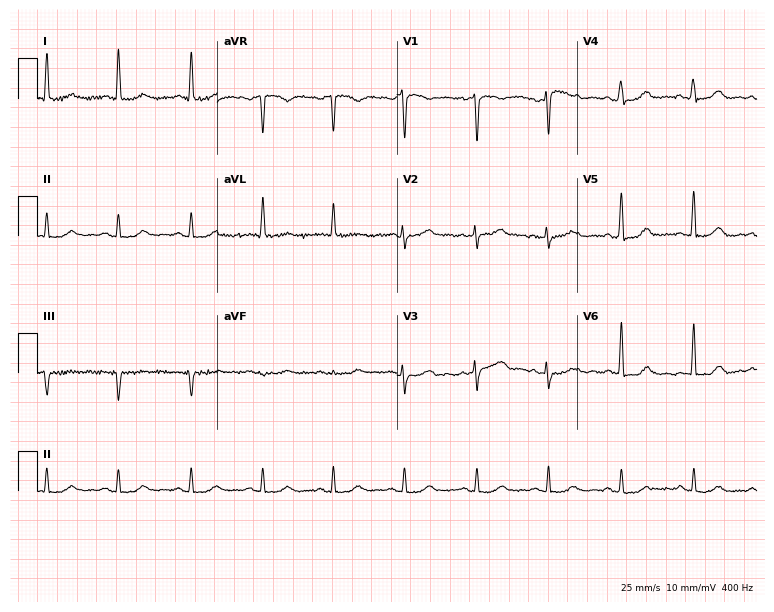
Resting 12-lead electrocardiogram. Patient: a 65-year-old female. Read as a normal ECG.